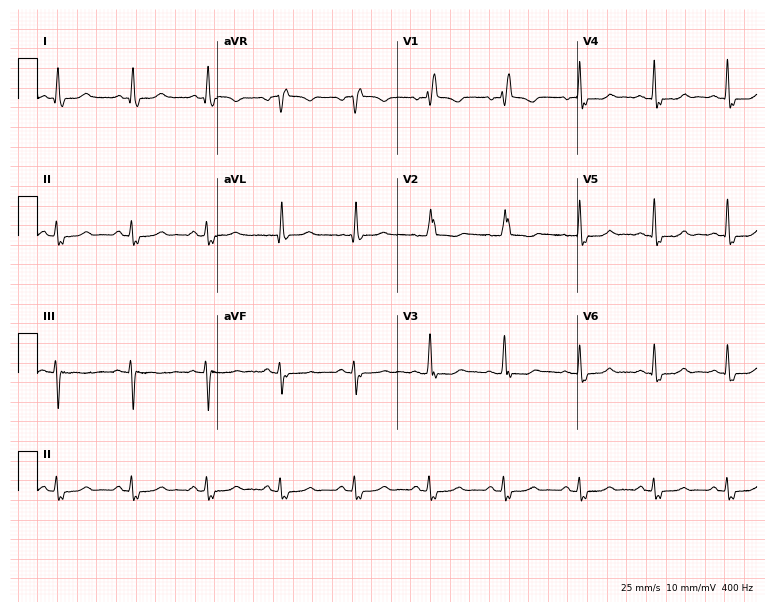
Electrocardiogram (7.3-second recording at 400 Hz), a 70-year-old woman. Interpretation includes right bundle branch block.